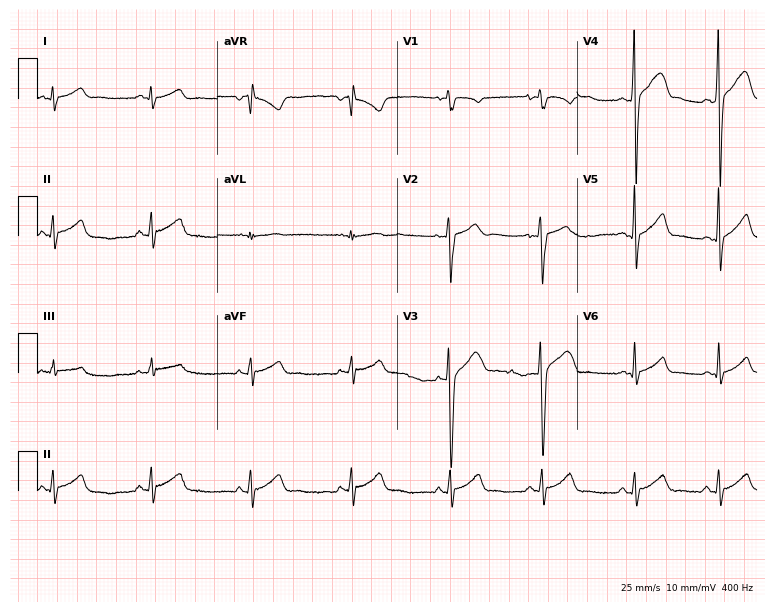
12-lead ECG from a male, 17 years old. Recorded interpretation: within normal limits.